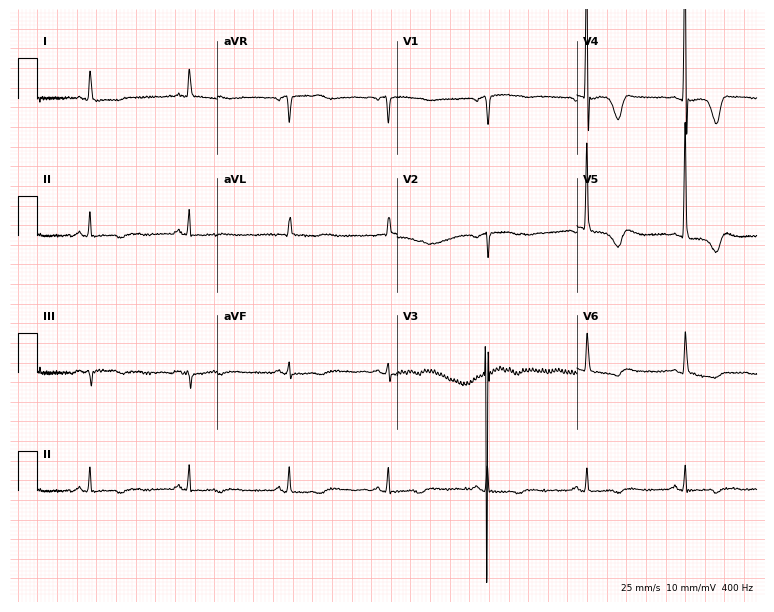
Resting 12-lead electrocardiogram (7.3-second recording at 400 Hz). Patient: a 73-year-old female. None of these six findings is recorded: first-degree AV block, right bundle branch block, left bundle branch block, sinus bradycardia, atrial fibrillation, sinus tachycardia. Findings outside these six are not listed.